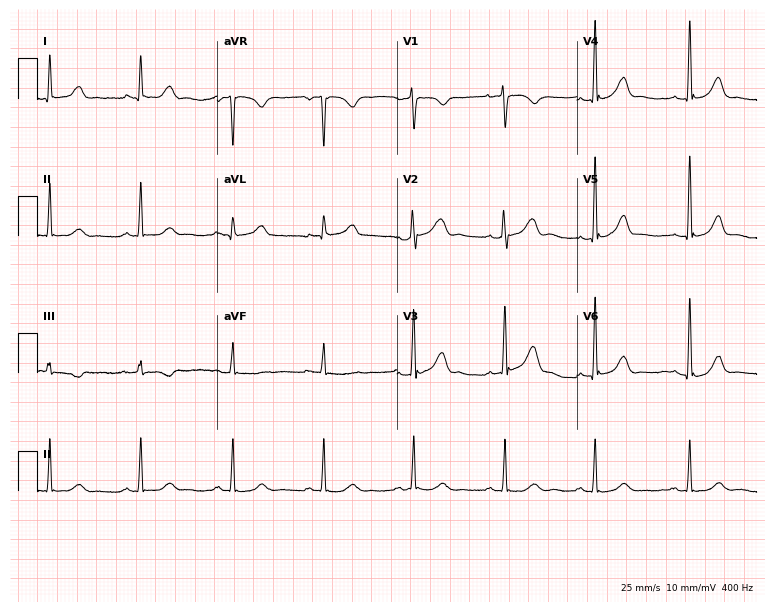
Standard 12-lead ECG recorded from a 58-year-old female (7.3-second recording at 400 Hz). Read as a normal ECG.